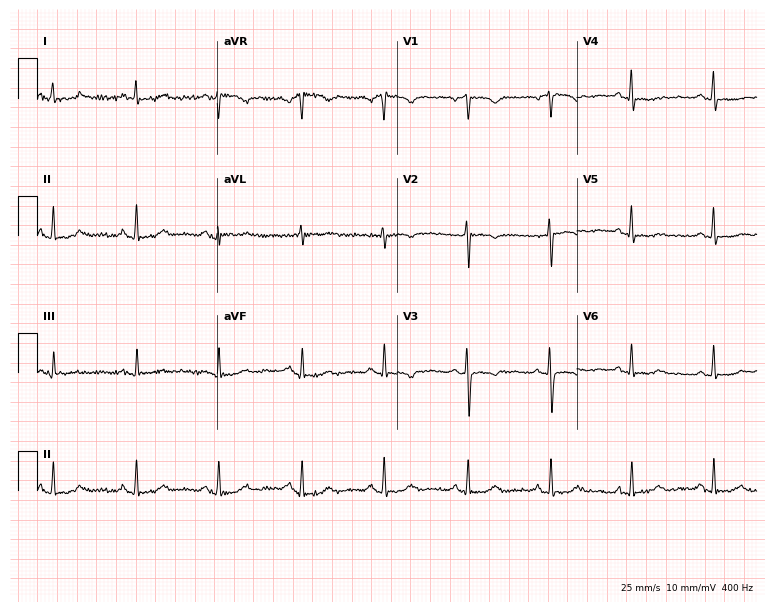
Electrocardiogram (7.3-second recording at 400 Hz), a 56-year-old male patient. Of the six screened findings (first-degree AV block, right bundle branch block, left bundle branch block, sinus bradycardia, atrial fibrillation, sinus tachycardia), none is recorded.